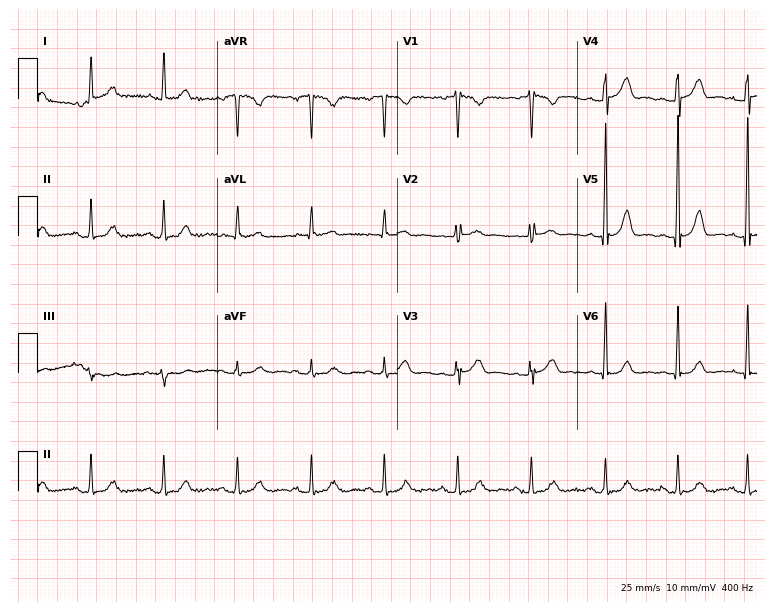
Standard 12-lead ECG recorded from a female patient, 60 years old (7.3-second recording at 400 Hz). Read as a normal ECG.